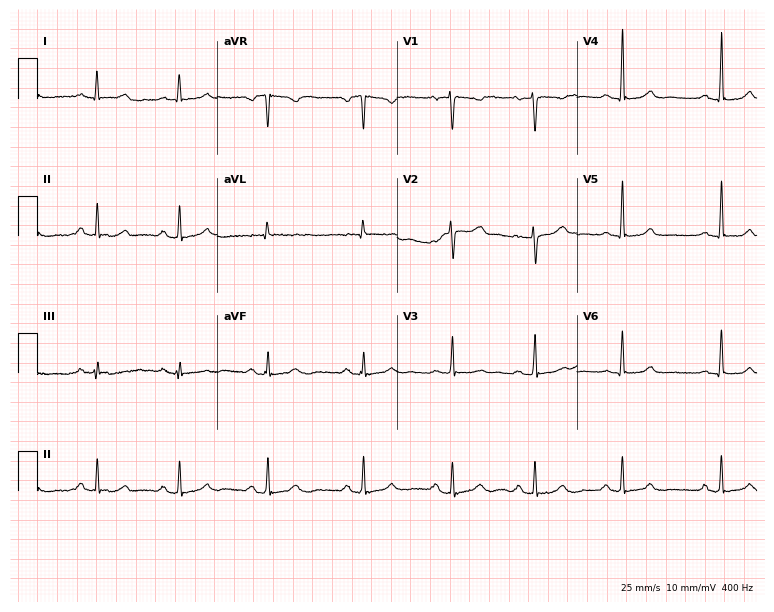
Electrocardiogram, a 27-year-old female patient. Overall reading on record: normal ECG.